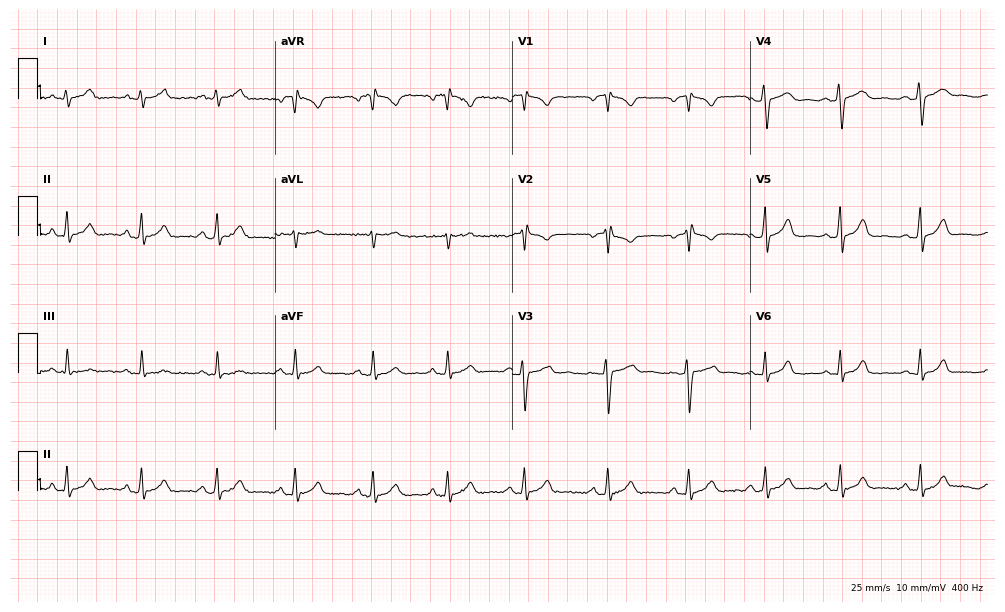
ECG (9.7-second recording at 400 Hz) — a 28-year-old female patient. Labelled as a normal ECG.